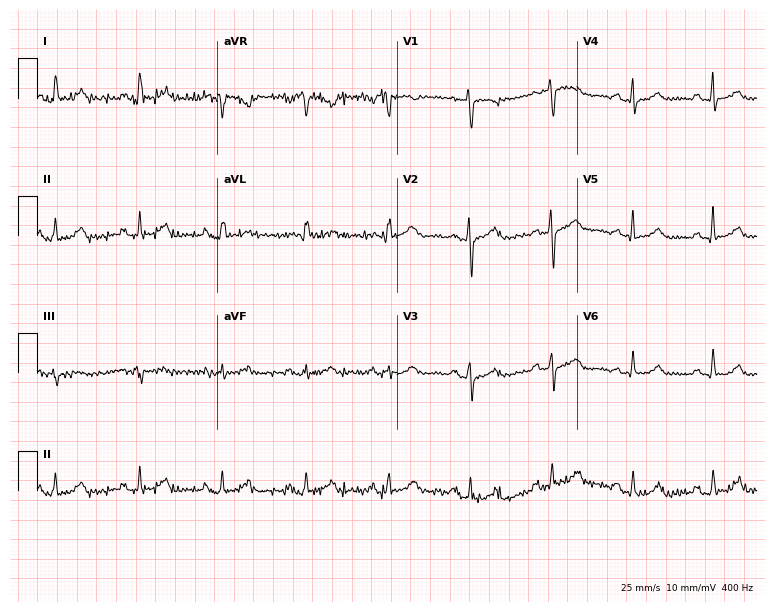
Standard 12-lead ECG recorded from a female patient, 72 years old. None of these six findings is recorded: first-degree AV block, right bundle branch block (RBBB), left bundle branch block (LBBB), sinus bradycardia, atrial fibrillation (AF), sinus tachycardia. Only these six findings were labelled.